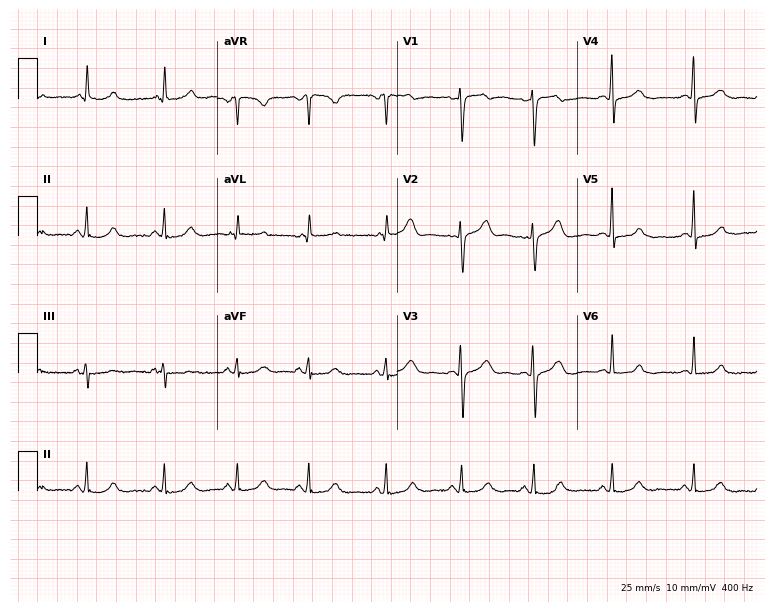
ECG (7.3-second recording at 400 Hz) — a 48-year-old female patient. Labelled as a normal ECG.